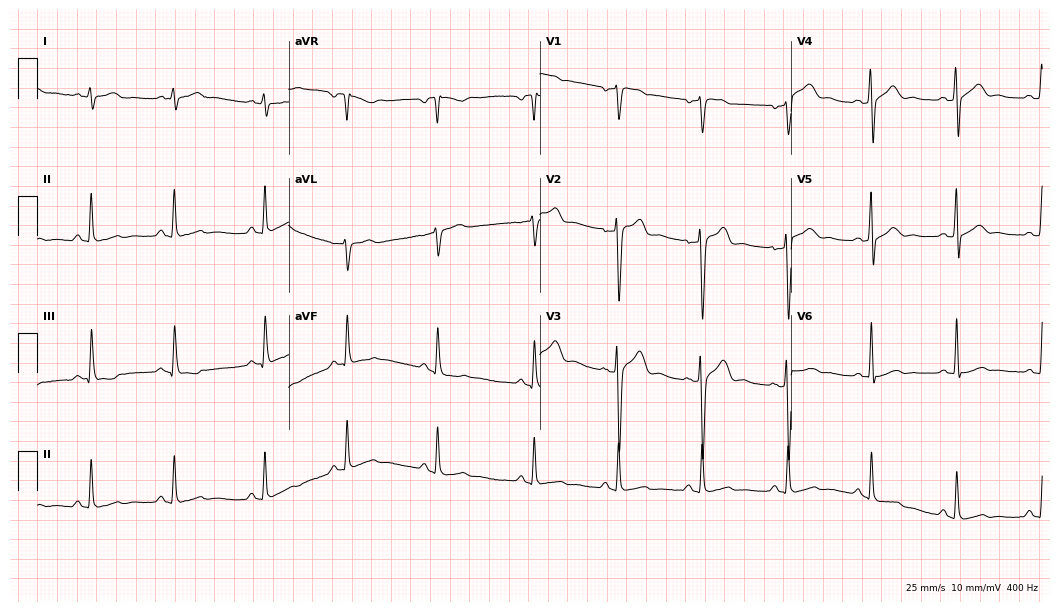
12-lead ECG from a male patient, 30 years old. Labelled as a normal ECG.